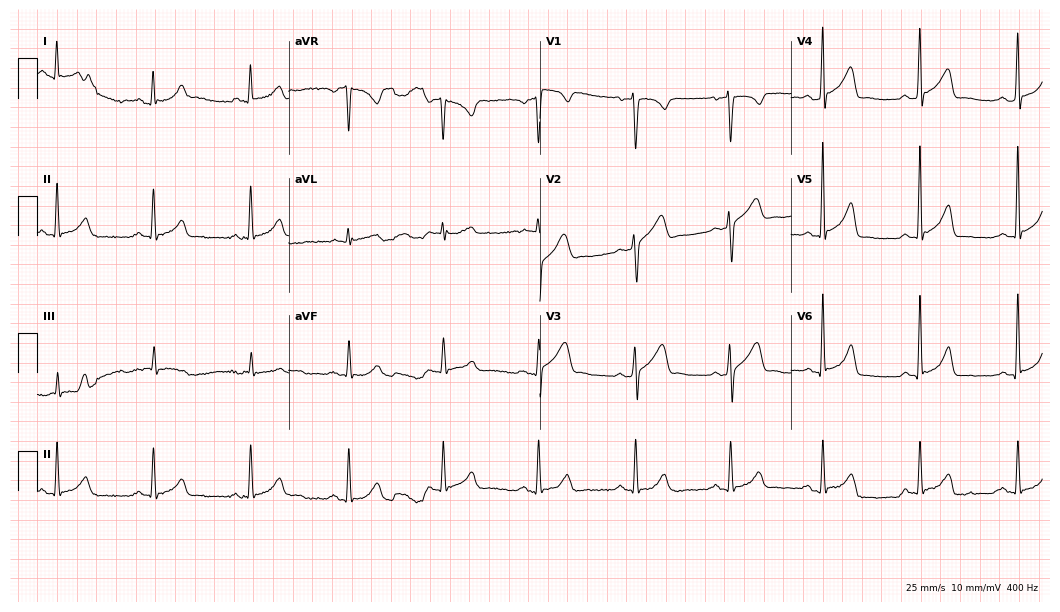
12-lead ECG from a 40-year-old male. Recorded interpretation: within normal limits.